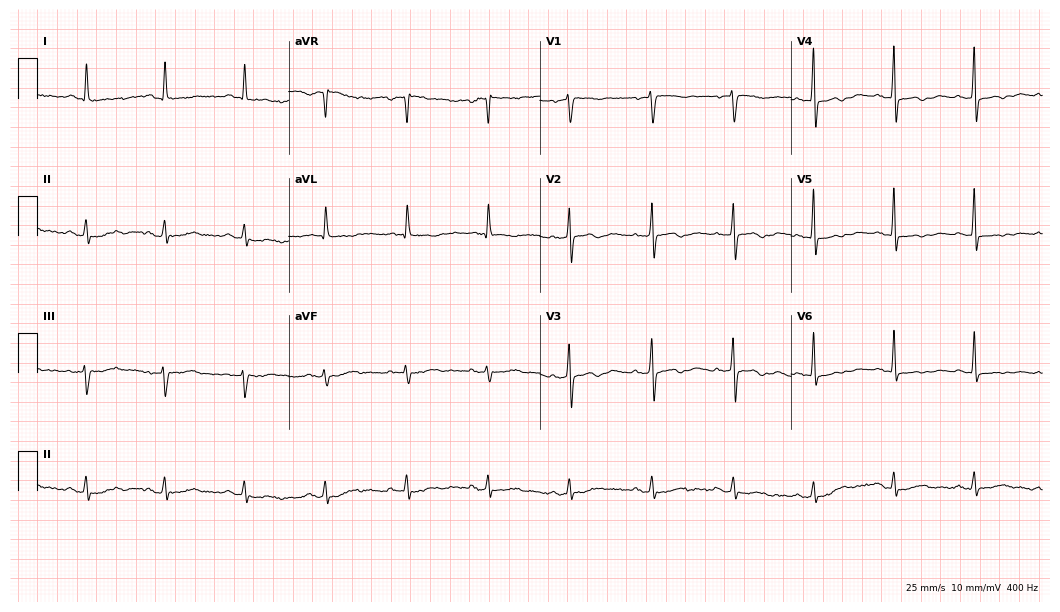
Electrocardiogram (10.2-second recording at 400 Hz), a woman, 83 years old. Of the six screened findings (first-degree AV block, right bundle branch block, left bundle branch block, sinus bradycardia, atrial fibrillation, sinus tachycardia), none is recorded.